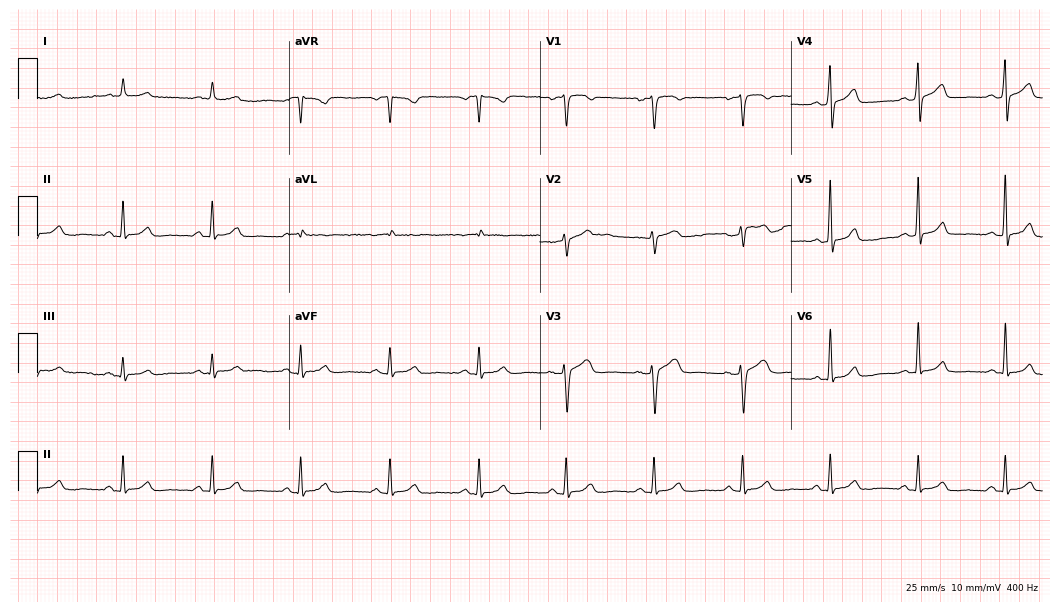
Electrocardiogram, a 66-year-old woman. Overall reading on record: normal ECG.